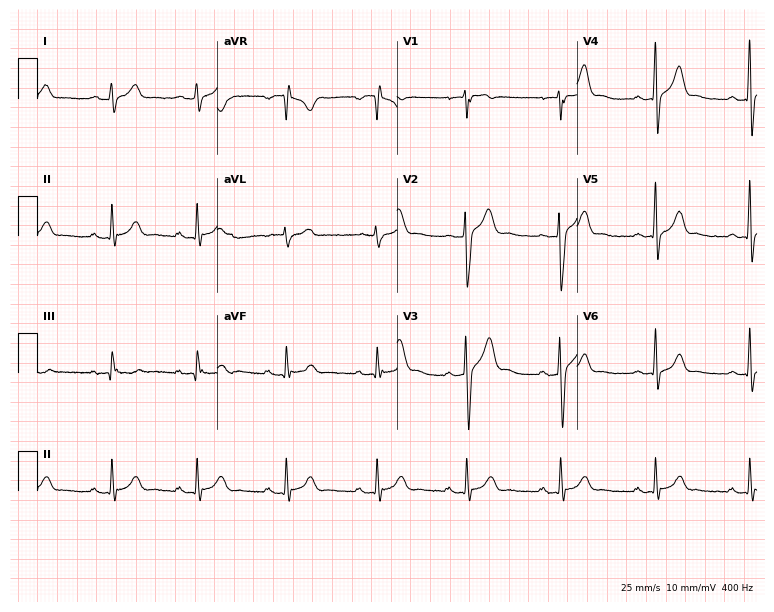
Standard 12-lead ECG recorded from a male patient, 31 years old. Read as a normal ECG.